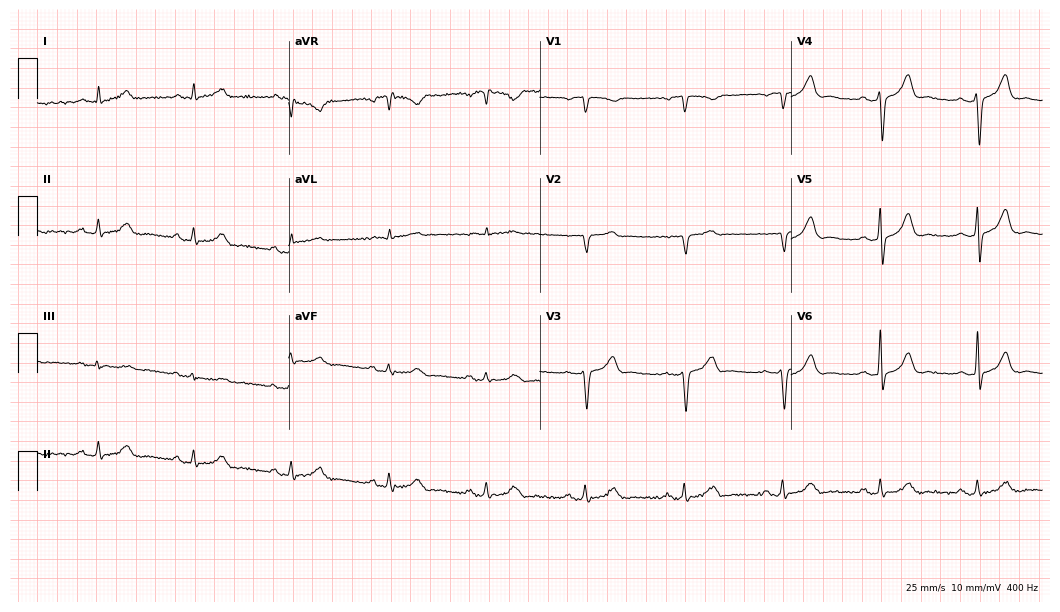
Standard 12-lead ECG recorded from a man, 58 years old. None of these six findings is recorded: first-degree AV block, right bundle branch block, left bundle branch block, sinus bradycardia, atrial fibrillation, sinus tachycardia.